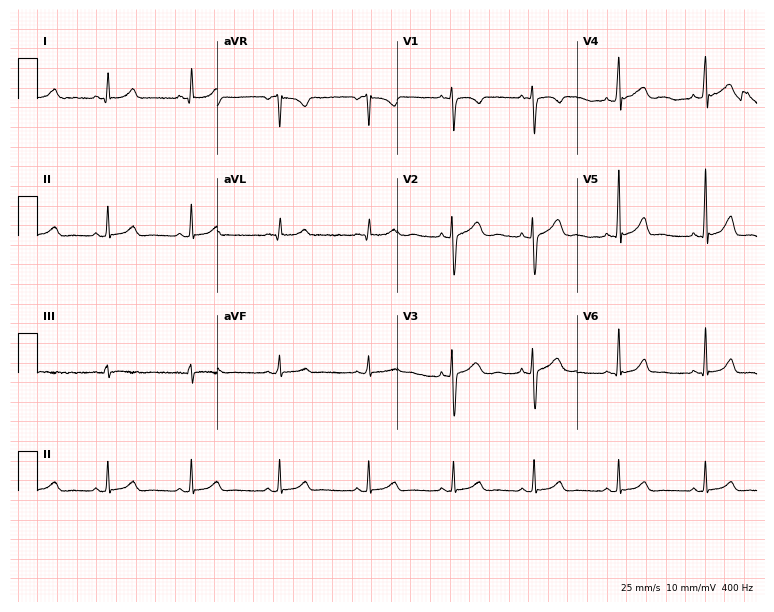
12-lead ECG from a female, 31 years old. Labelled as a normal ECG.